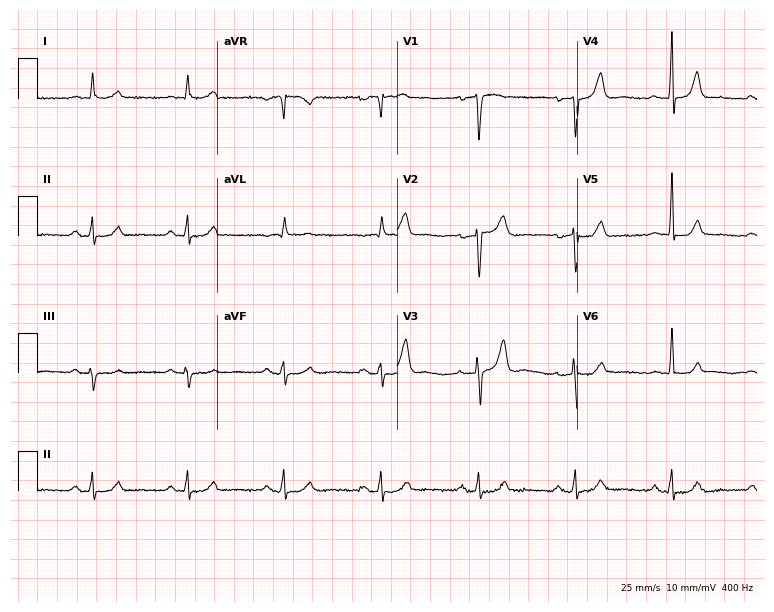
Standard 12-lead ECG recorded from a man, 65 years old (7.3-second recording at 400 Hz). Read as a normal ECG.